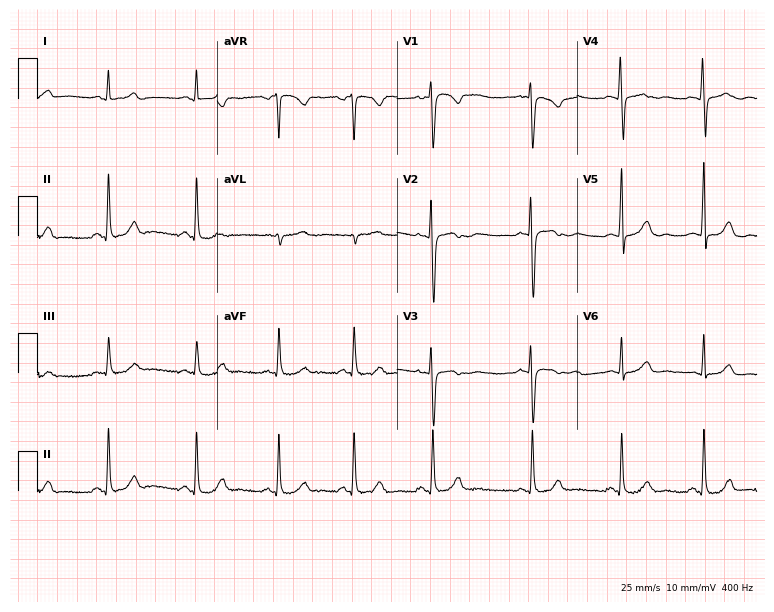
ECG — a 24-year-old female patient. Labelled as a normal ECG.